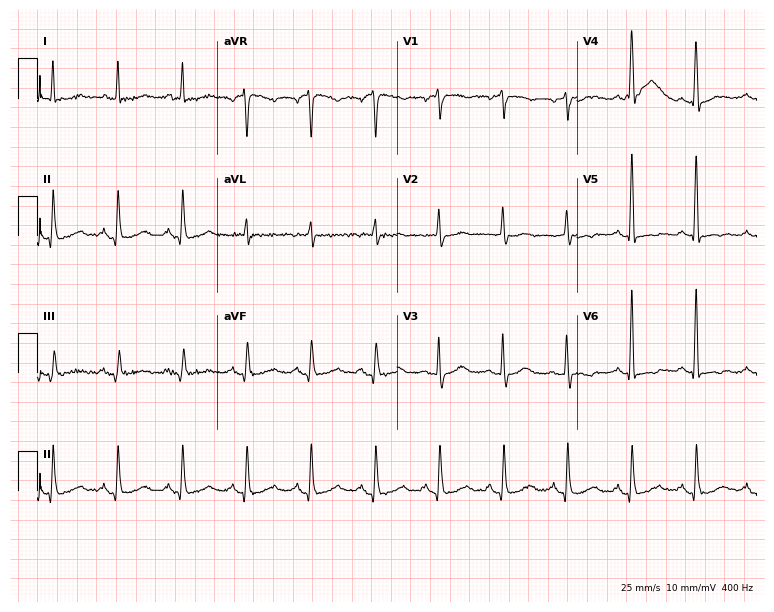
Standard 12-lead ECG recorded from an 82-year-old female patient (7.3-second recording at 400 Hz). None of these six findings is recorded: first-degree AV block, right bundle branch block, left bundle branch block, sinus bradycardia, atrial fibrillation, sinus tachycardia.